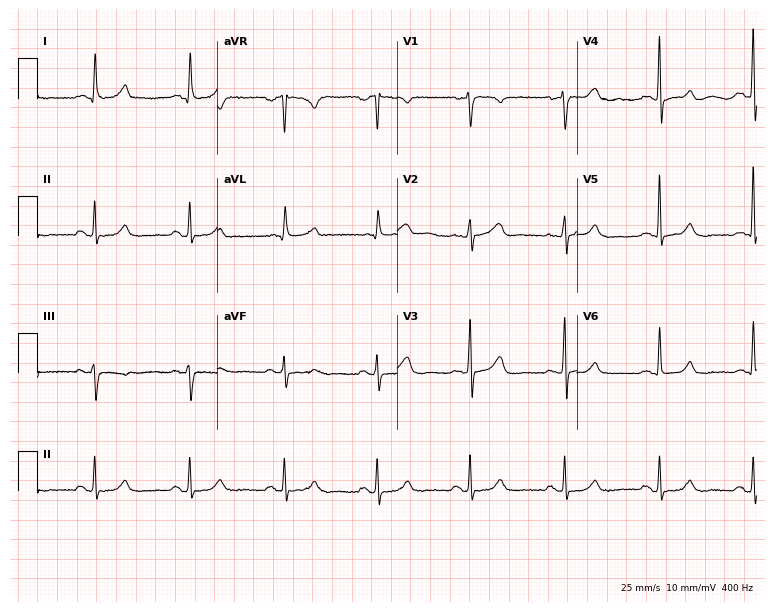
12-lead ECG (7.3-second recording at 400 Hz) from a 66-year-old female. Labelled as a normal ECG.